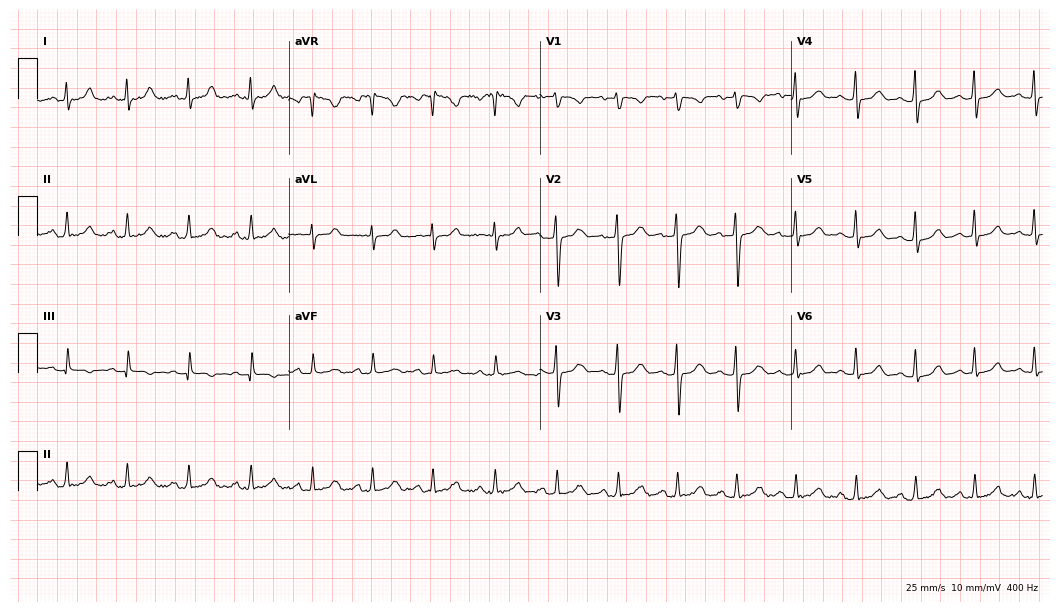
12-lead ECG from a 20-year-old woman. Recorded interpretation: within normal limits.